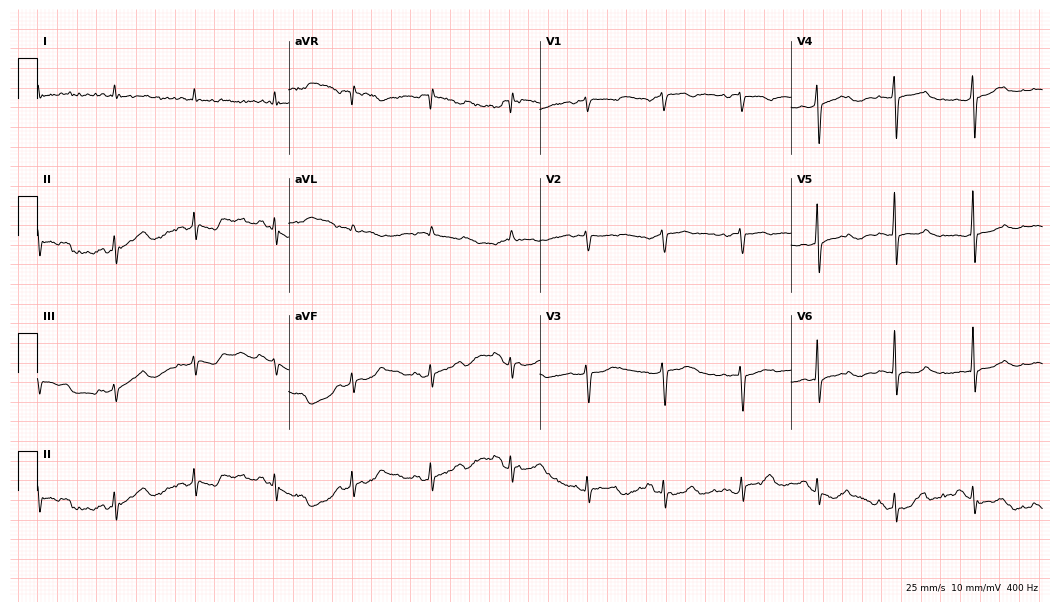
12-lead ECG (10.2-second recording at 400 Hz) from a 60-year-old woman. Screened for six findings — first-degree AV block, right bundle branch block (RBBB), left bundle branch block (LBBB), sinus bradycardia, atrial fibrillation (AF), sinus tachycardia — none is recorded.